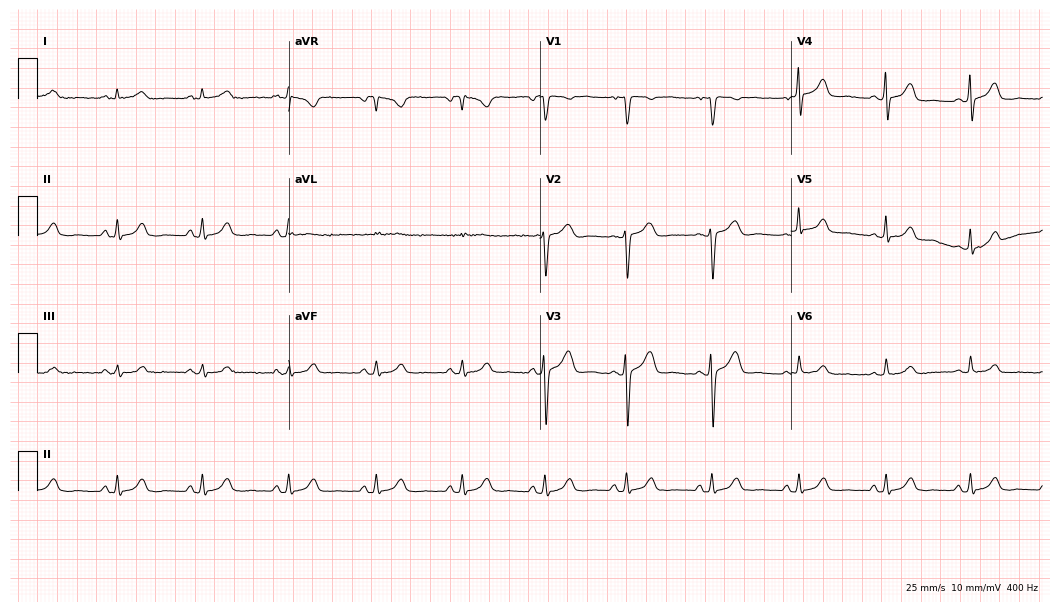
Resting 12-lead electrocardiogram. Patient: a 43-year-old man. Read as a normal ECG.